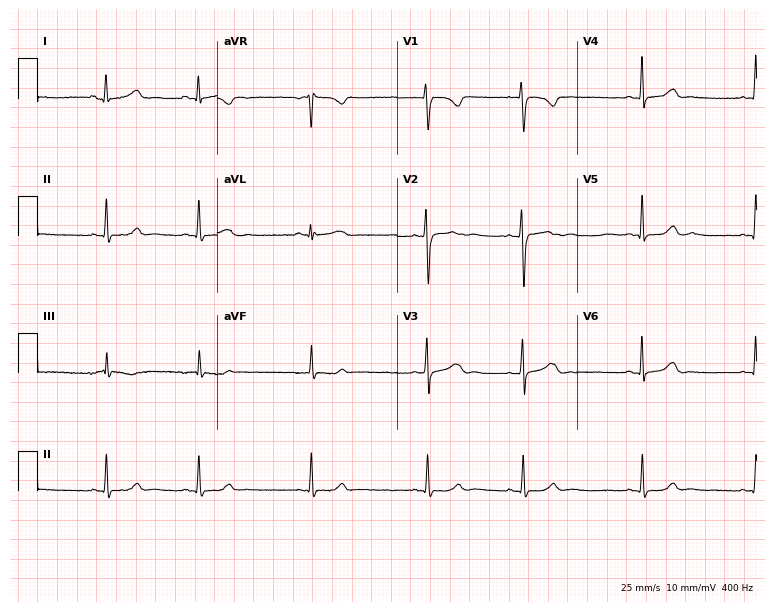
Resting 12-lead electrocardiogram. Patient: a 20-year-old female. None of these six findings is recorded: first-degree AV block, right bundle branch block, left bundle branch block, sinus bradycardia, atrial fibrillation, sinus tachycardia. Only these six findings were labelled.